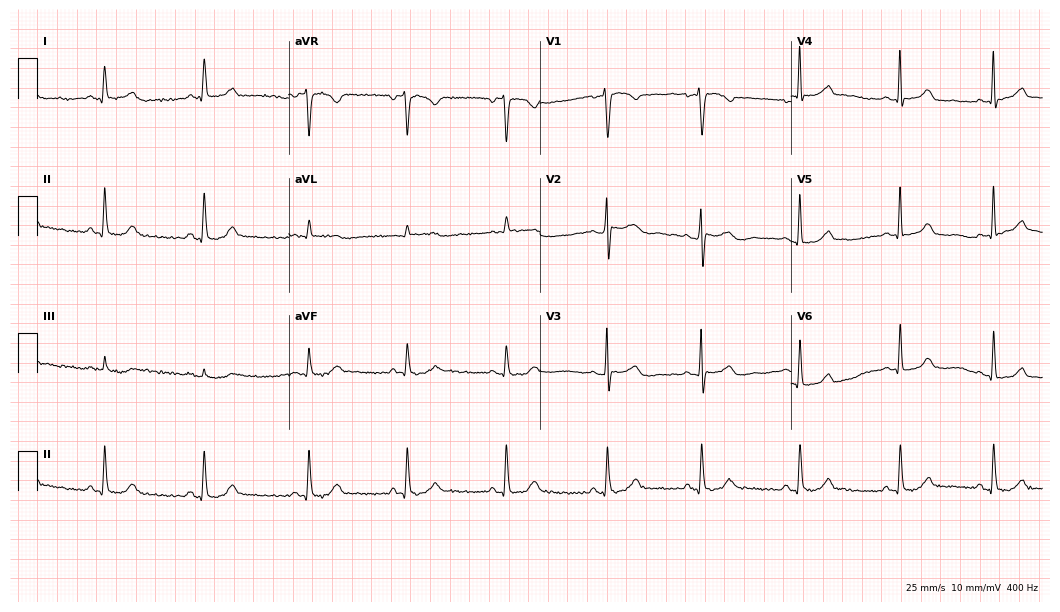
Standard 12-lead ECG recorded from a woman, 54 years old (10.2-second recording at 400 Hz). Read as a normal ECG.